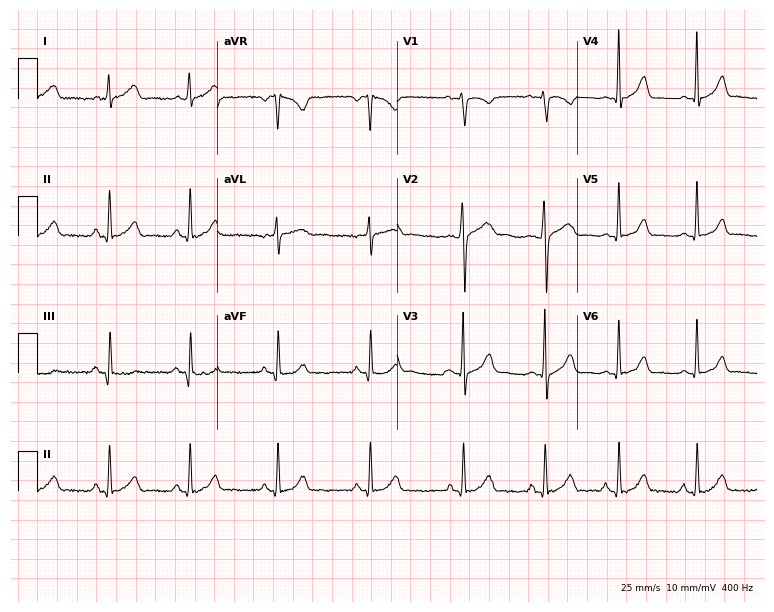
12-lead ECG (7.3-second recording at 400 Hz) from a woman, 20 years old. Screened for six findings — first-degree AV block, right bundle branch block, left bundle branch block, sinus bradycardia, atrial fibrillation, sinus tachycardia — none is recorded. Other findings, if any, are not listed.